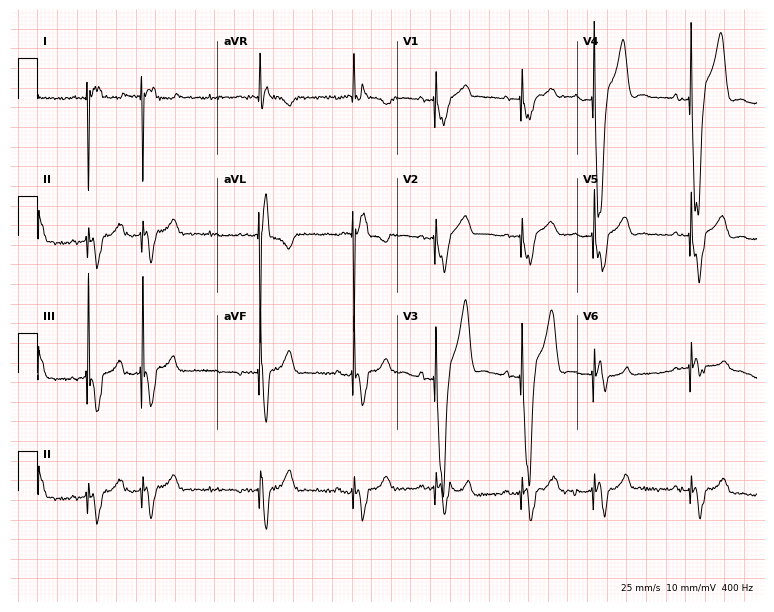
12-lead ECG from a 78-year-old male patient. No first-degree AV block, right bundle branch block, left bundle branch block, sinus bradycardia, atrial fibrillation or sinus tachycardia recorded for this tracing. Findings outside these six are not listed.